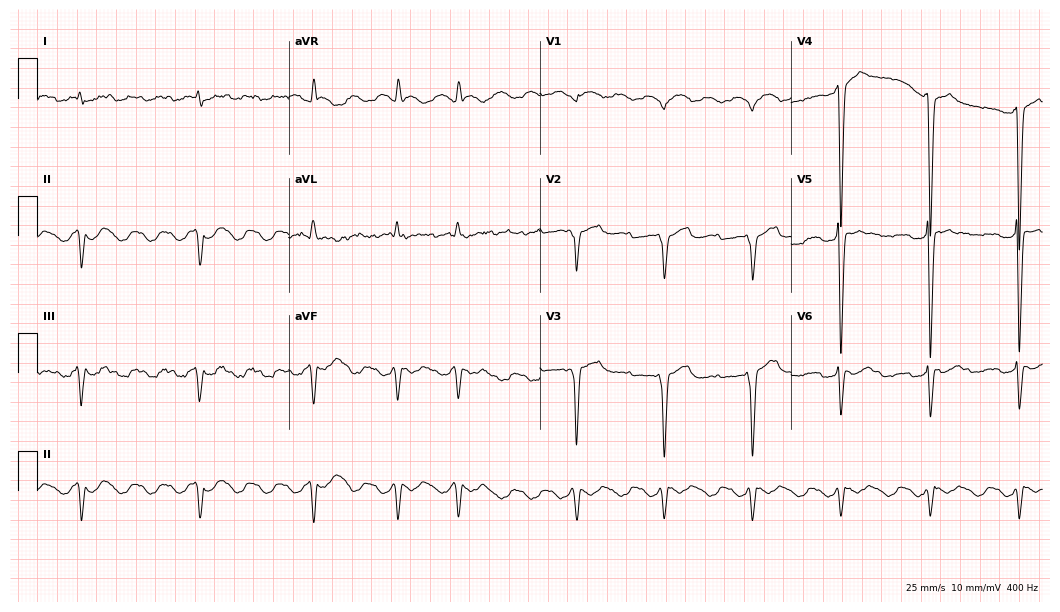
12-lead ECG from a man, 52 years old. Screened for six findings — first-degree AV block, right bundle branch block, left bundle branch block, sinus bradycardia, atrial fibrillation, sinus tachycardia — none is recorded.